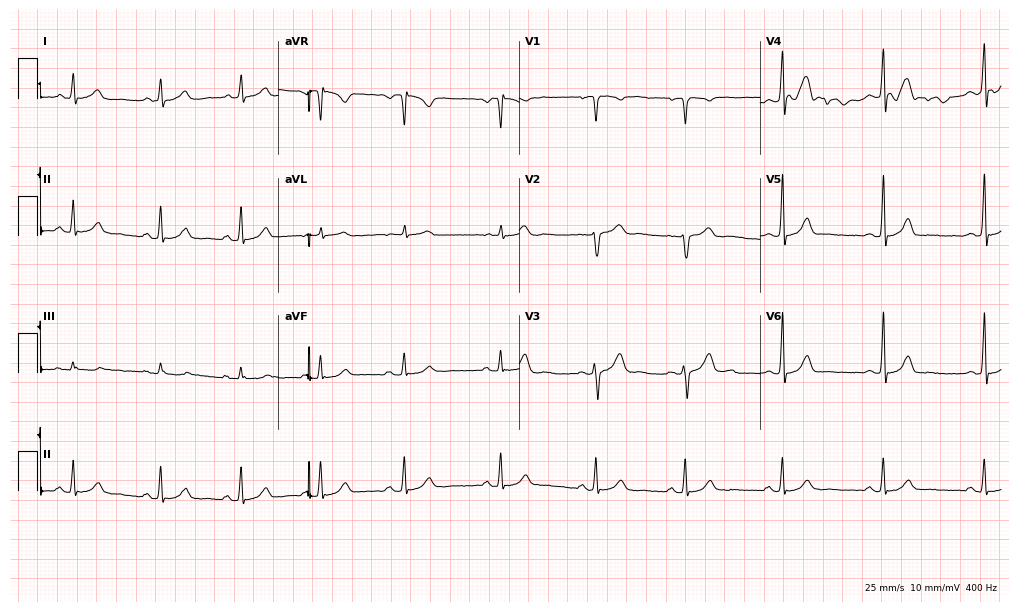
12-lead ECG from a 30-year-old female (9.8-second recording at 400 Hz). Recorded interpretation: within normal limits.